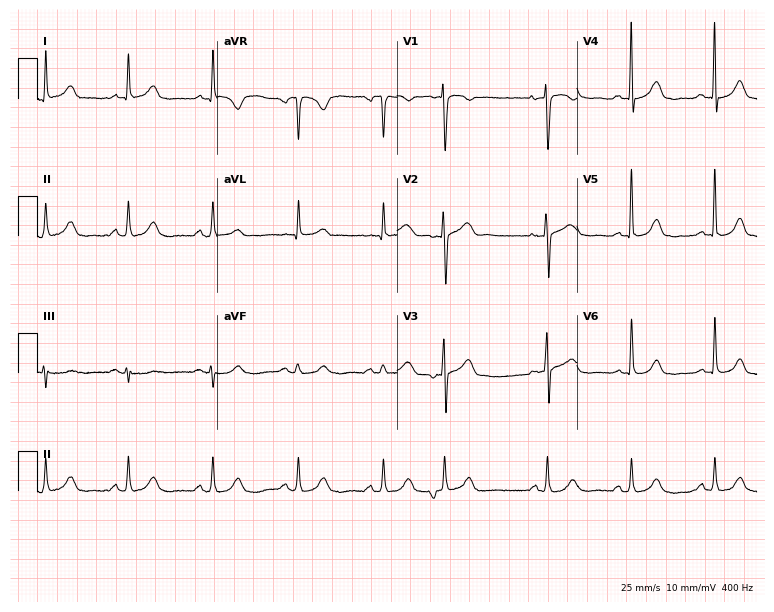
Standard 12-lead ECG recorded from a female, 73 years old (7.3-second recording at 400 Hz). None of these six findings is recorded: first-degree AV block, right bundle branch block, left bundle branch block, sinus bradycardia, atrial fibrillation, sinus tachycardia.